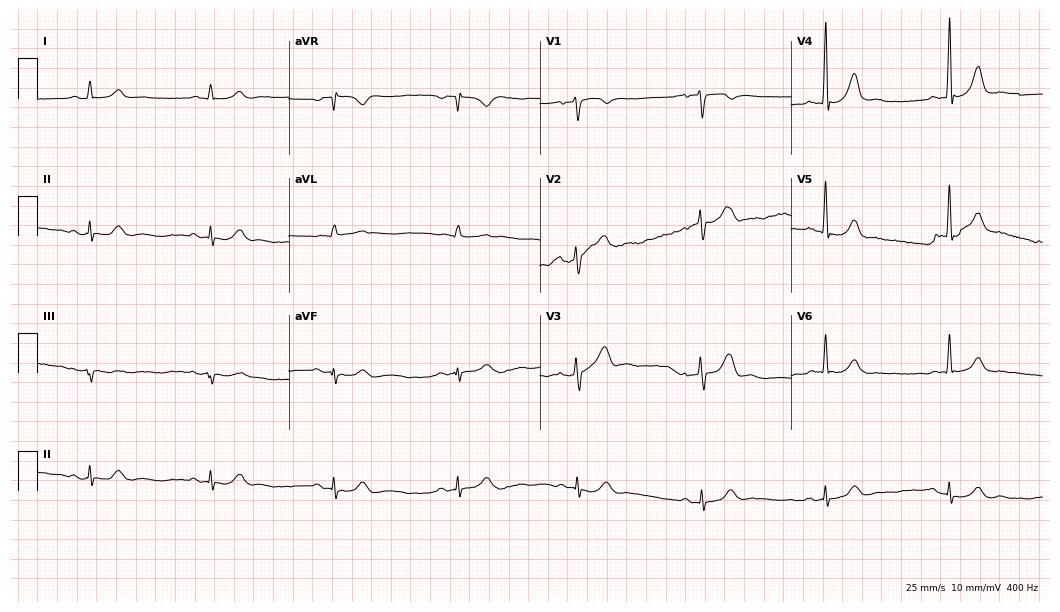
ECG — a 63-year-old male. Findings include sinus bradycardia (a sinus rate of 50 beats per minute or less).